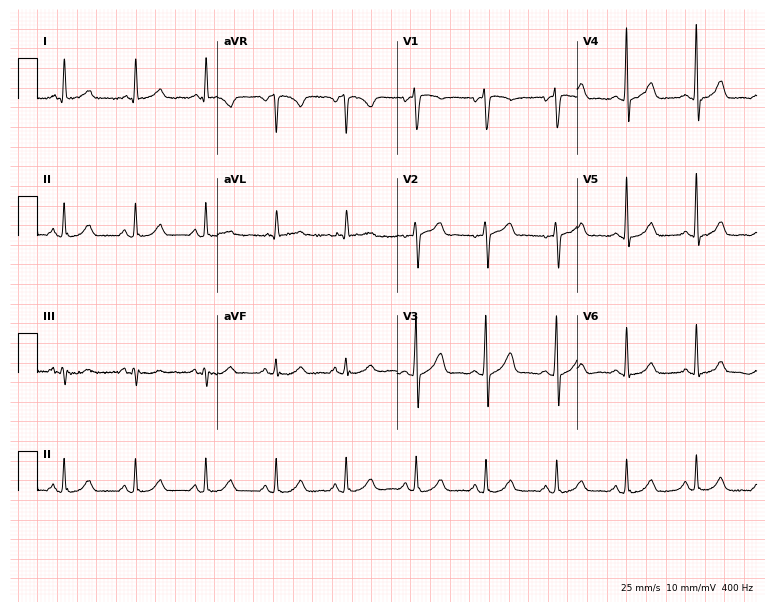
Resting 12-lead electrocardiogram. Patient: a man, 69 years old. Read as a normal ECG.